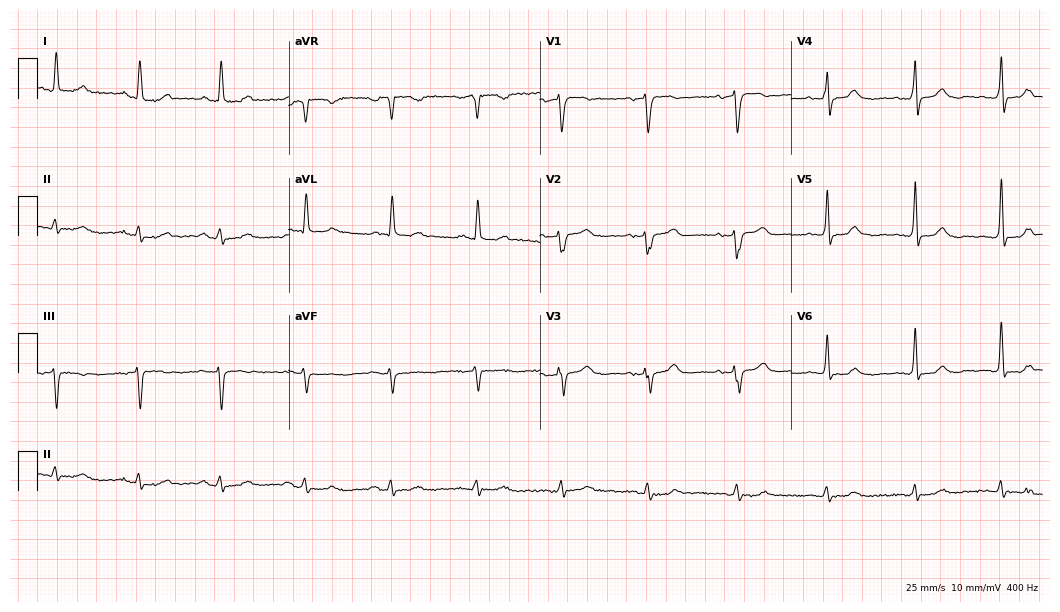
Standard 12-lead ECG recorded from a female patient, 68 years old. None of these six findings is recorded: first-degree AV block, right bundle branch block, left bundle branch block, sinus bradycardia, atrial fibrillation, sinus tachycardia. Other findings, if any, are not listed.